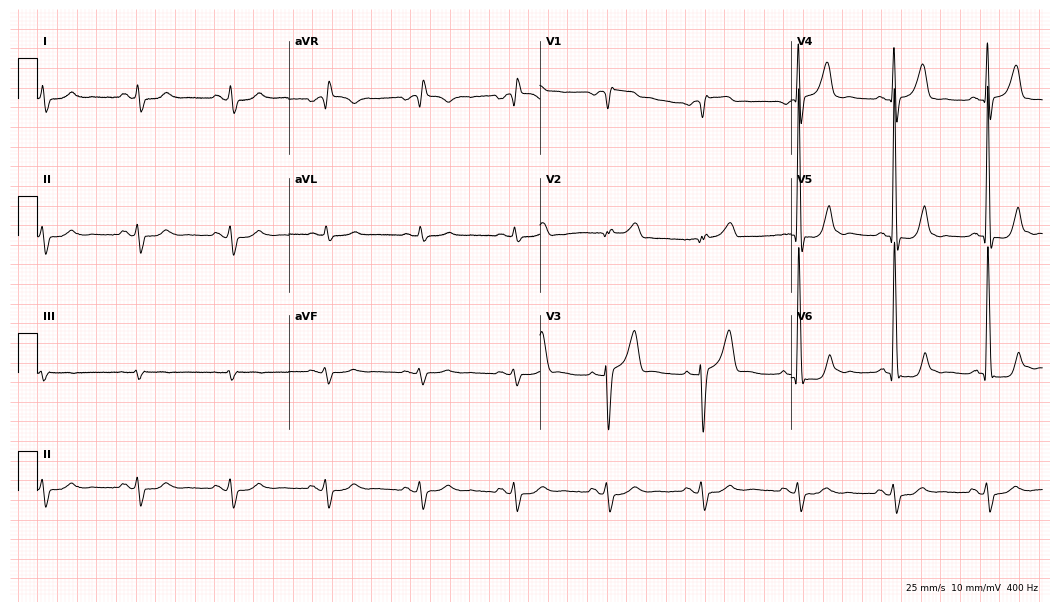
ECG — a male, 83 years old. Screened for six findings — first-degree AV block, right bundle branch block, left bundle branch block, sinus bradycardia, atrial fibrillation, sinus tachycardia — none is recorded.